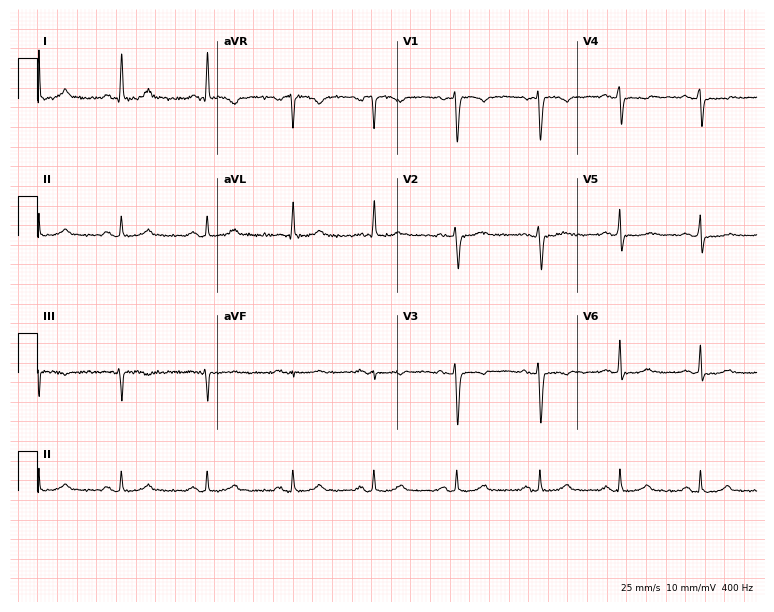
ECG (7.3-second recording at 400 Hz) — a 44-year-old female. Screened for six findings — first-degree AV block, right bundle branch block (RBBB), left bundle branch block (LBBB), sinus bradycardia, atrial fibrillation (AF), sinus tachycardia — none is recorded.